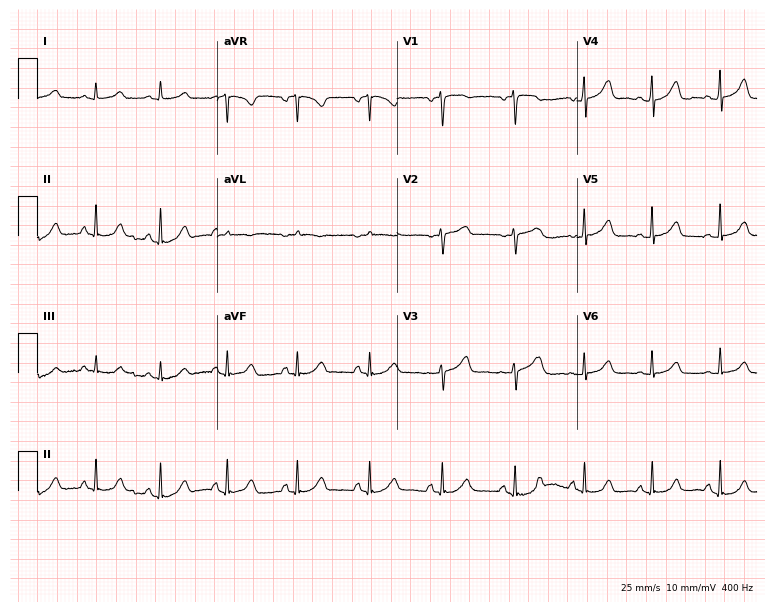
Standard 12-lead ECG recorded from a 54-year-old female patient. Read as a normal ECG.